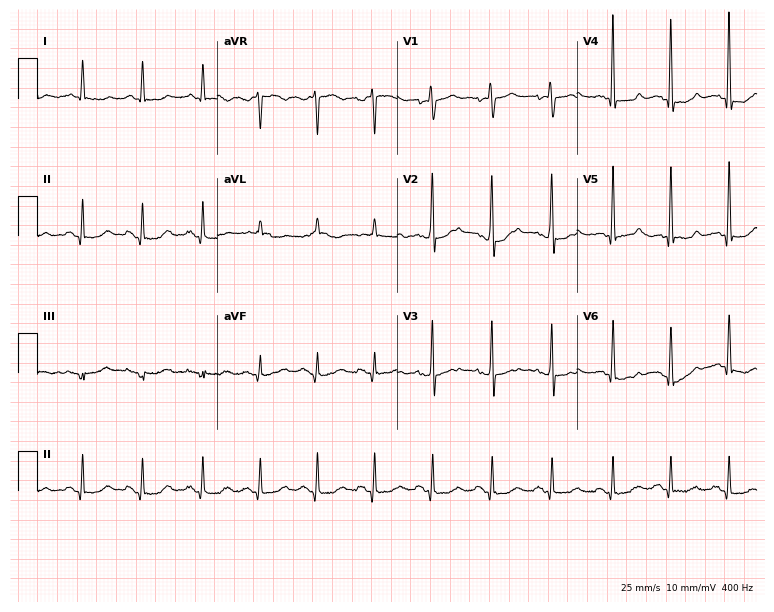
12-lead ECG from a woman, 71 years old. Labelled as a normal ECG.